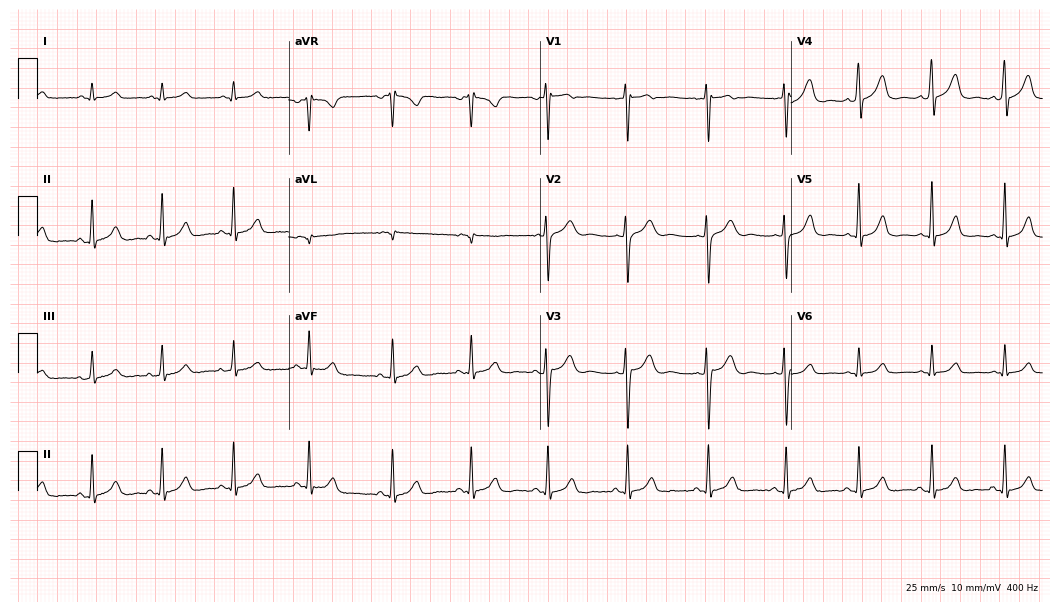
12-lead ECG (10.2-second recording at 400 Hz) from a woman, 40 years old. Screened for six findings — first-degree AV block, right bundle branch block, left bundle branch block, sinus bradycardia, atrial fibrillation, sinus tachycardia — none is recorded.